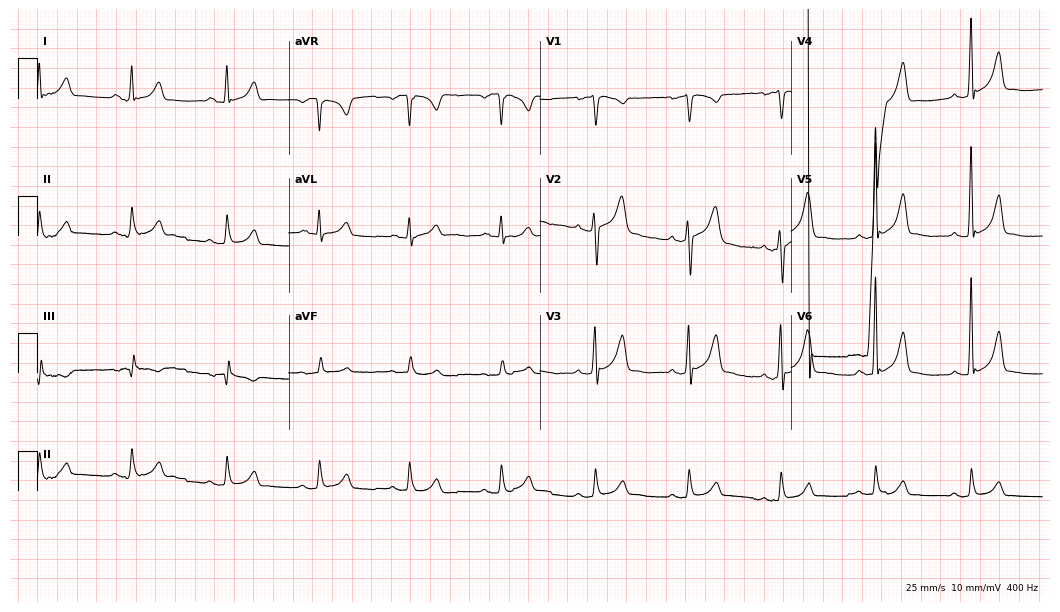
Electrocardiogram (10.2-second recording at 400 Hz), a male patient, 40 years old. Of the six screened findings (first-degree AV block, right bundle branch block (RBBB), left bundle branch block (LBBB), sinus bradycardia, atrial fibrillation (AF), sinus tachycardia), none is recorded. Findings outside these six are not listed.